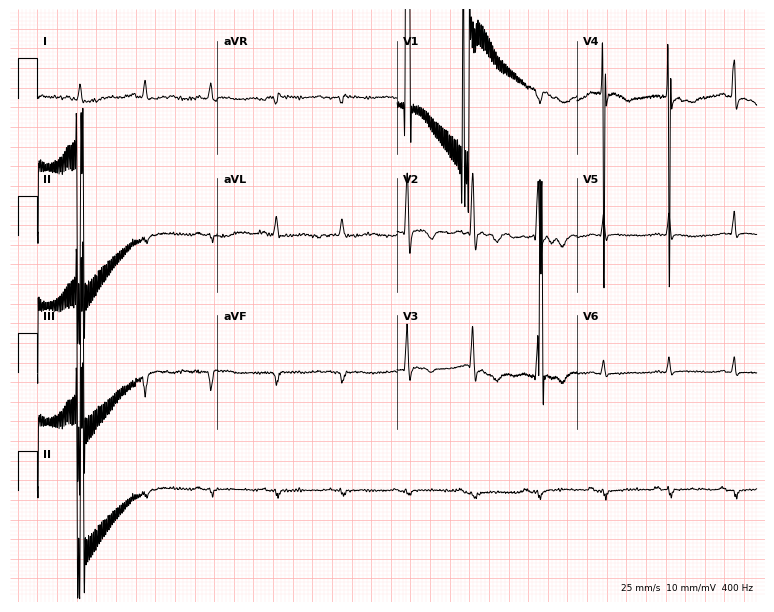
Resting 12-lead electrocardiogram (7.3-second recording at 400 Hz). Patient: a man, 74 years old. None of these six findings is recorded: first-degree AV block, right bundle branch block, left bundle branch block, sinus bradycardia, atrial fibrillation, sinus tachycardia.